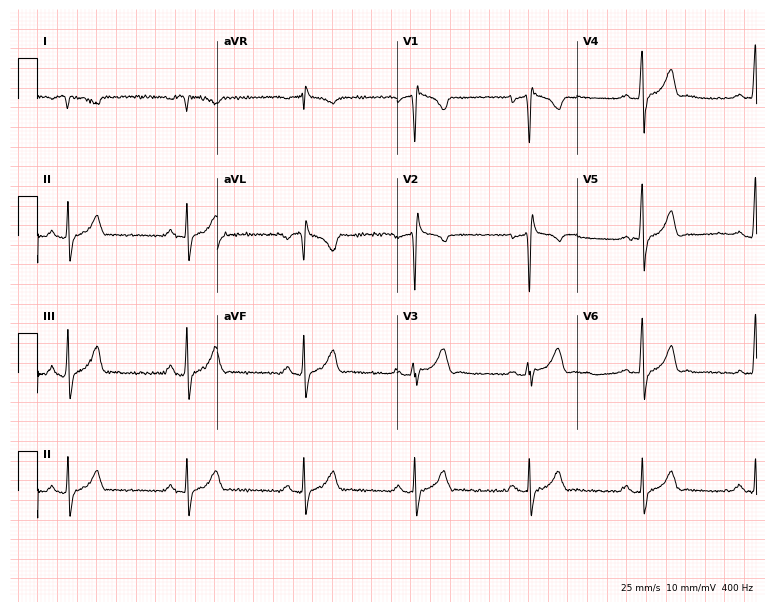
ECG (7.3-second recording at 400 Hz) — a 27-year-old male. Screened for six findings — first-degree AV block, right bundle branch block, left bundle branch block, sinus bradycardia, atrial fibrillation, sinus tachycardia — none is recorded.